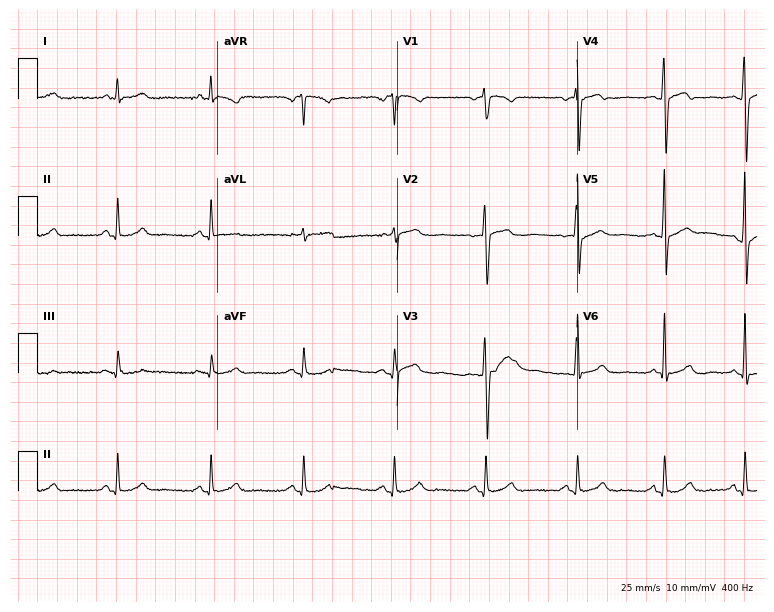
12-lead ECG from a female, 50 years old. Recorded interpretation: within normal limits.